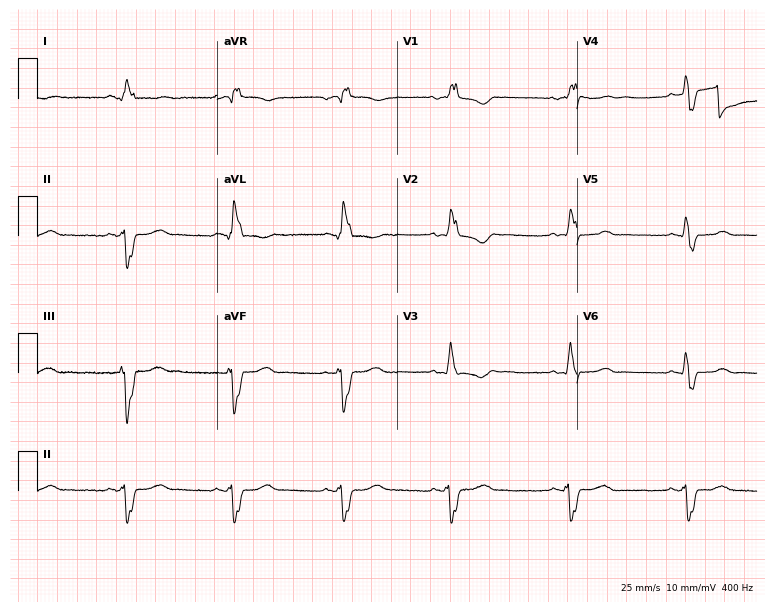
12-lead ECG from a 51-year-old female (7.3-second recording at 400 Hz). Shows right bundle branch block (RBBB).